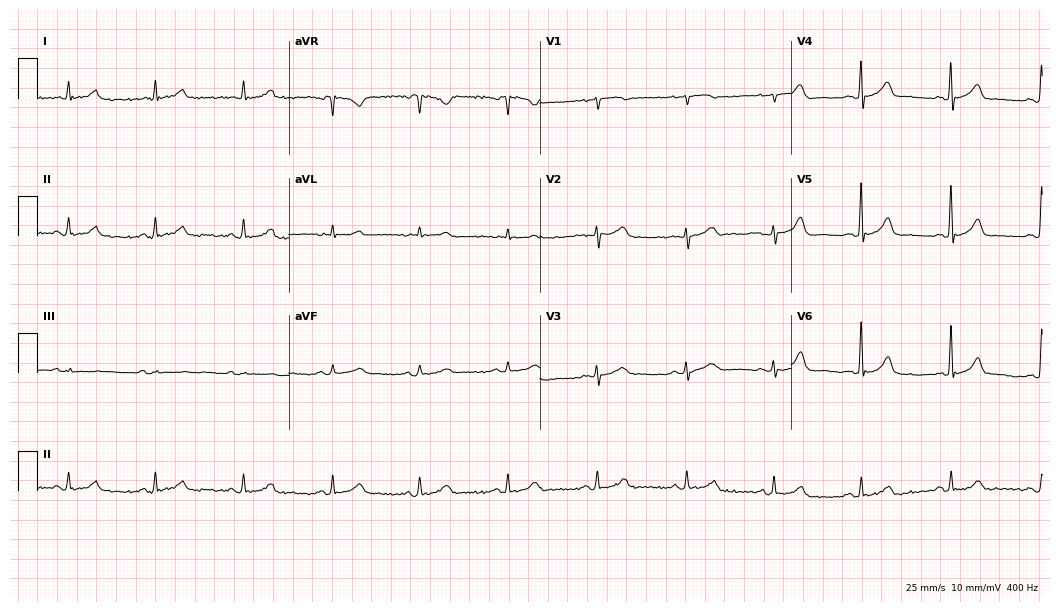
12-lead ECG (10.2-second recording at 400 Hz) from a female patient, 82 years old. Labelled as a normal ECG.